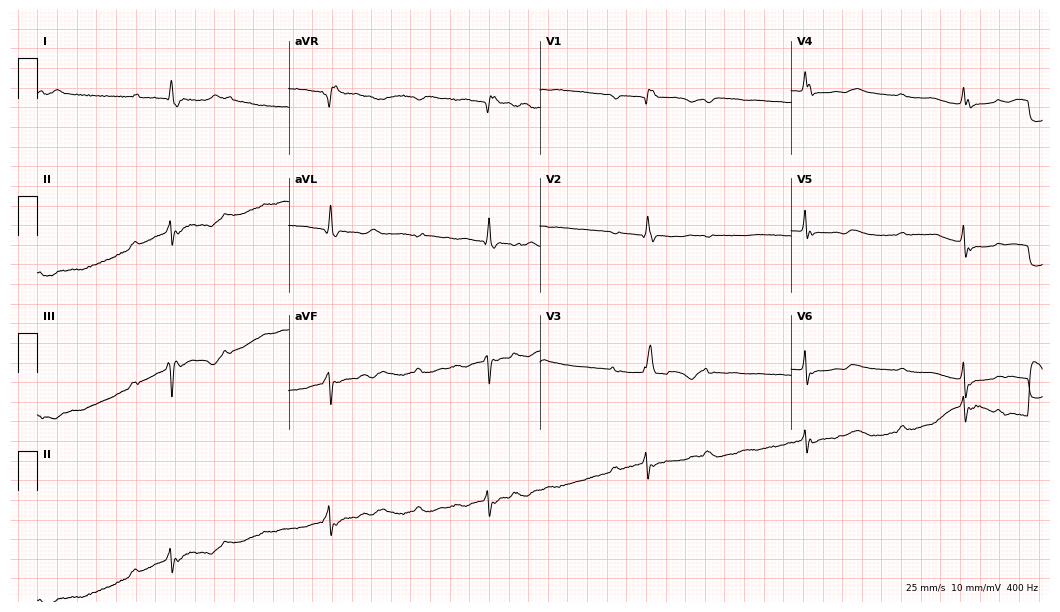
12-lead ECG from a 64-year-old female patient. Screened for six findings — first-degree AV block, right bundle branch block, left bundle branch block, sinus bradycardia, atrial fibrillation, sinus tachycardia — none is recorded. Only these six findings were labelled.